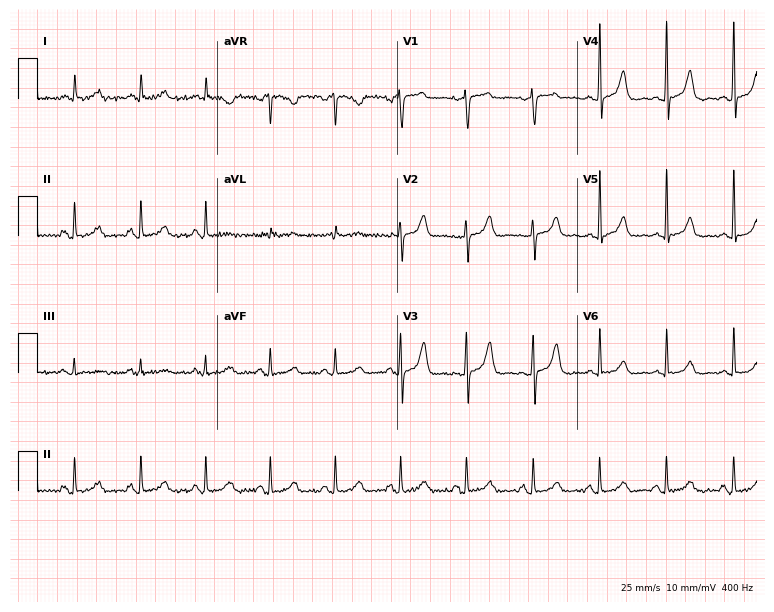
12-lead ECG (7.3-second recording at 400 Hz) from a 70-year-old woman. Labelled as a normal ECG.